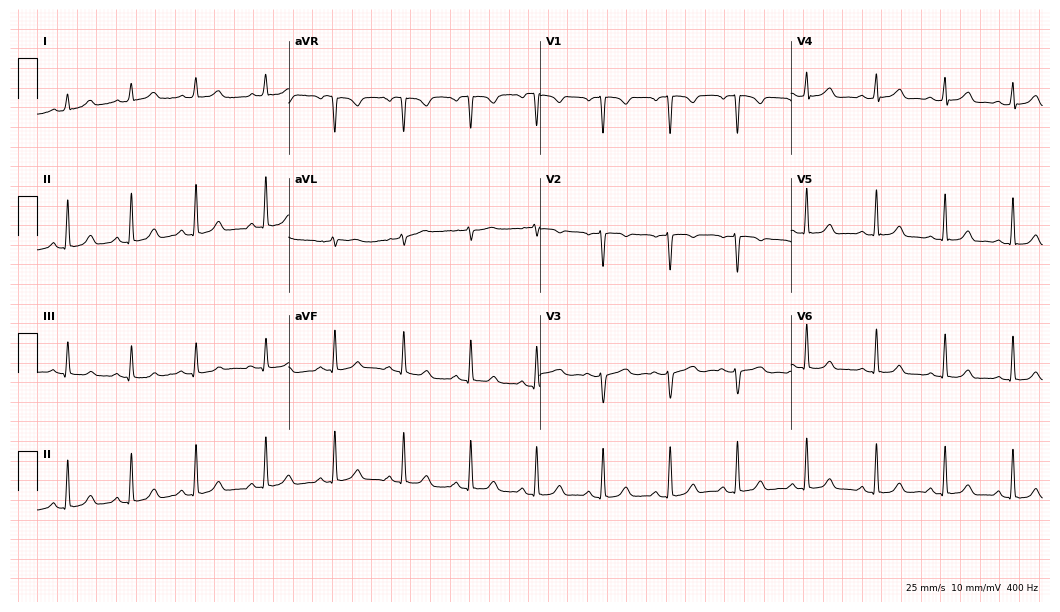
ECG — a woman, 31 years old. Screened for six findings — first-degree AV block, right bundle branch block (RBBB), left bundle branch block (LBBB), sinus bradycardia, atrial fibrillation (AF), sinus tachycardia — none is recorded. Only these six findings were labelled.